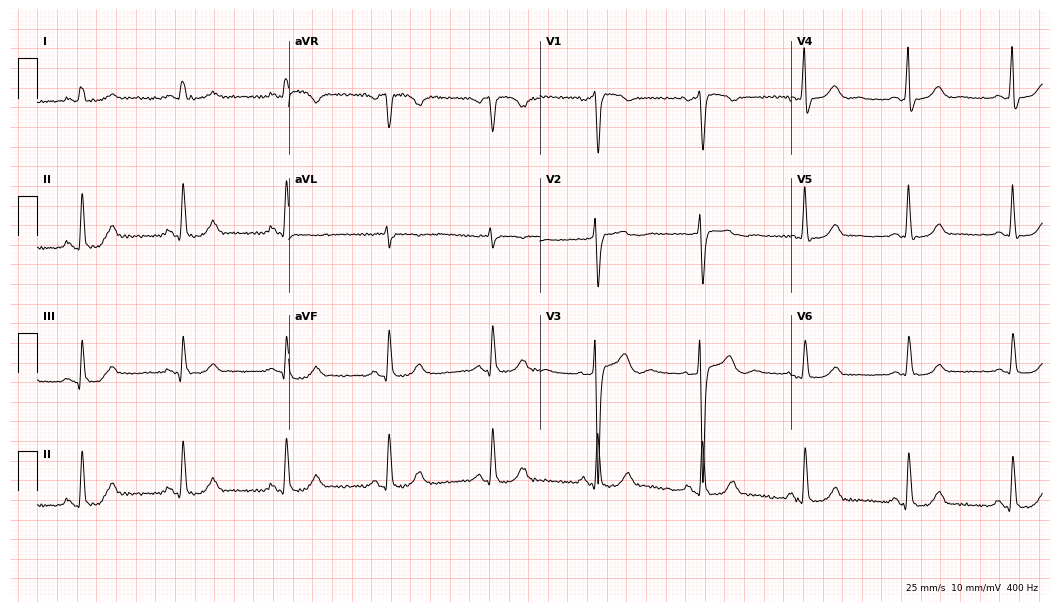
Resting 12-lead electrocardiogram. Patient: a 72-year-old female. None of these six findings is recorded: first-degree AV block, right bundle branch block (RBBB), left bundle branch block (LBBB), sinus bradycardia, atrial fibrillation (AF), sinus tachycardia. Other findings, if any, are not listed.